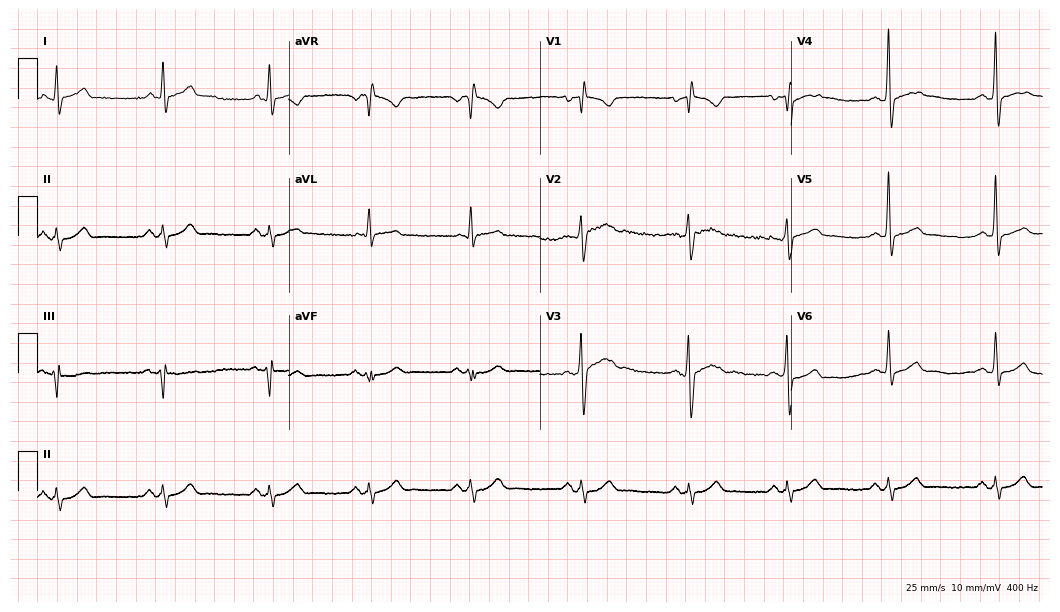
ECG — a 47-year-old male. Screened for six findings — first-degree AV block, right bundle branch block (RBBB), left bundle branch block (LBBB), sinus bradycardia, atrial fibrillation (AF), sinus tachycardia — none is recorded. Other findings, if any, are not listed.